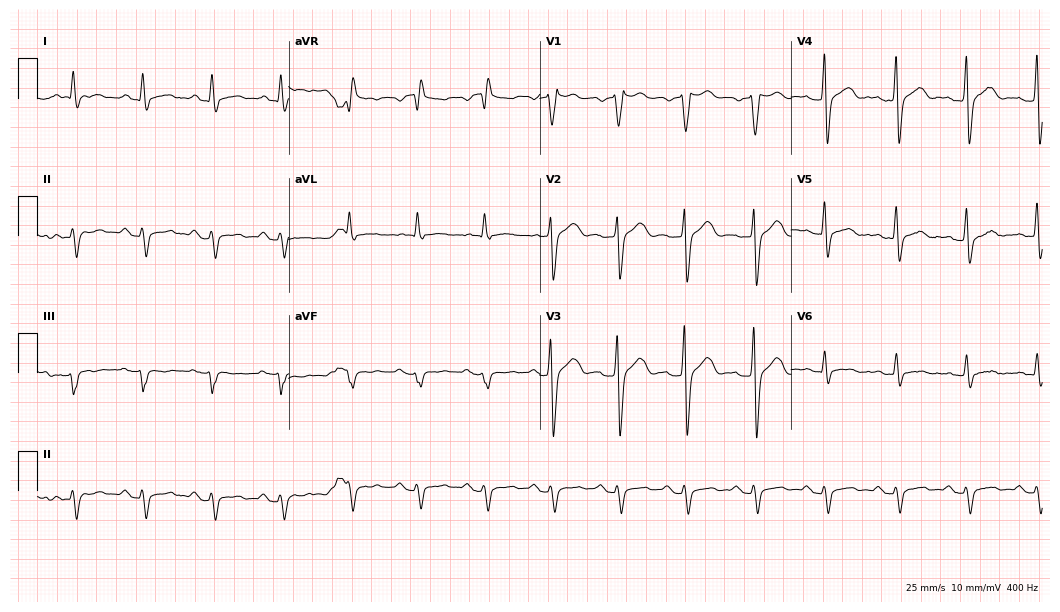
Resting 12-lead electrocardiogram (10.2-second recording at 400 Hz). Patient: a man, 33 years old. None of these six findings is recorded: first-degree AV block, right bundle branch block, left bundle branch block, sinus bradycardia, atrial fibrillation, sinus tachycardia. Other findings, if any, are not listed.